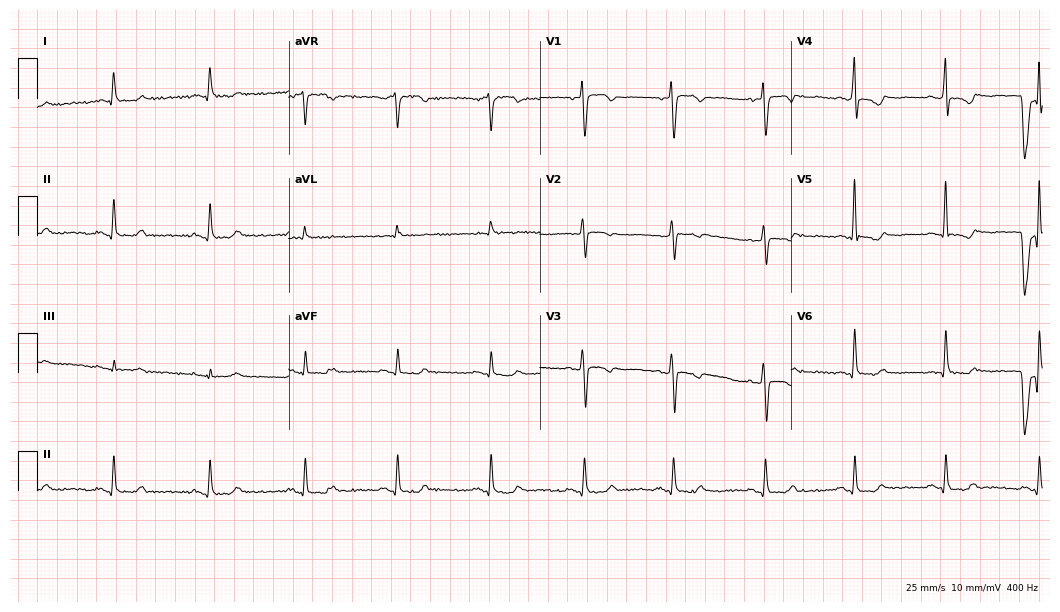
ECG (10.2-second recording at 400 Hz) — a female, 59 years old. Screened for six findings — first-degree AV block, right bundle branch block (RBBB), left bundle branch block (LBBB), sinus bradycardia, atrial fibrillation (AF), sinus tachycardia — none is recorded.